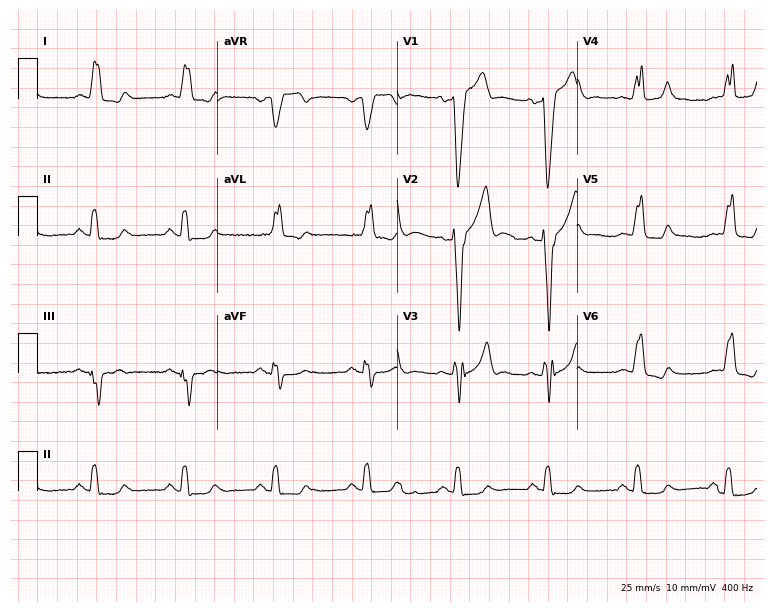
12-lead ECG from a man, 60 years old (7.3-second recording at 400 Hz). Shows left bundle branch block.